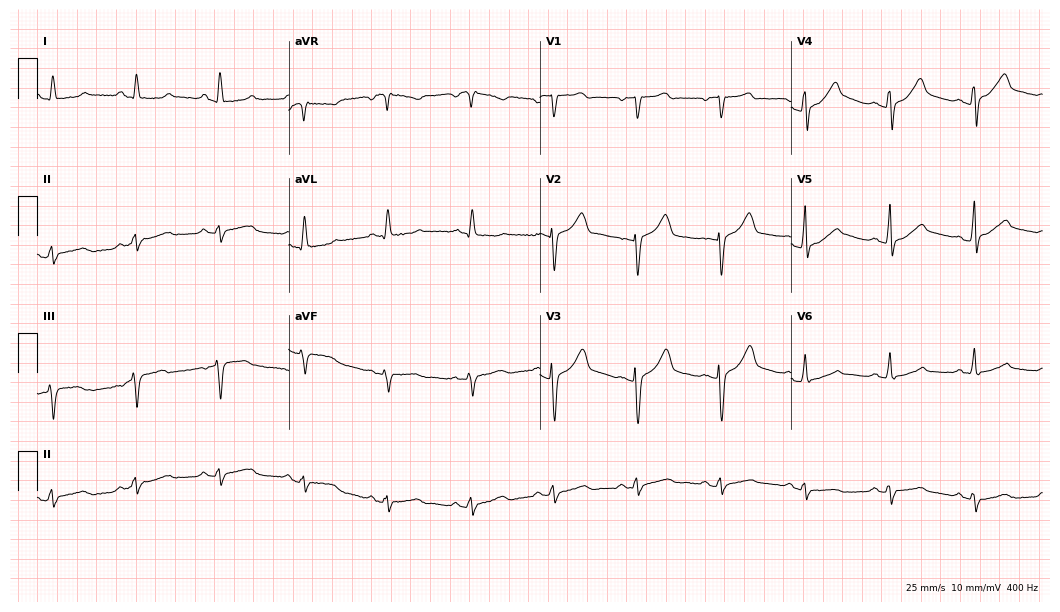
ECG — a 70-year-old man. Labelled as a normal ECG.